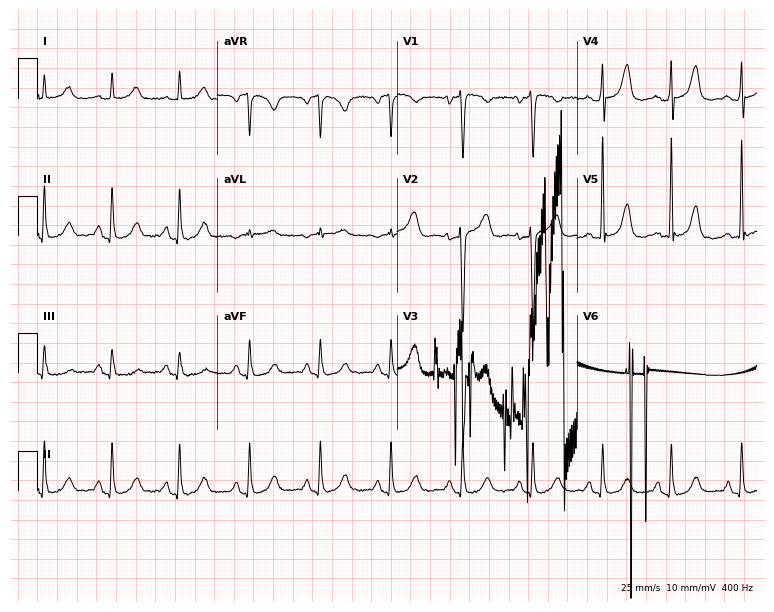
Electrocardiogram (7.3-second recording at 400 Hz), a woman, 32 years old. Of the six screened findings (first-degree AV block, right bundle branch block, left bundle branch block, sinus bradycardia, atrial fibrillation, sinus tachycardia), none is recorded. Findings outside these six are not listed.